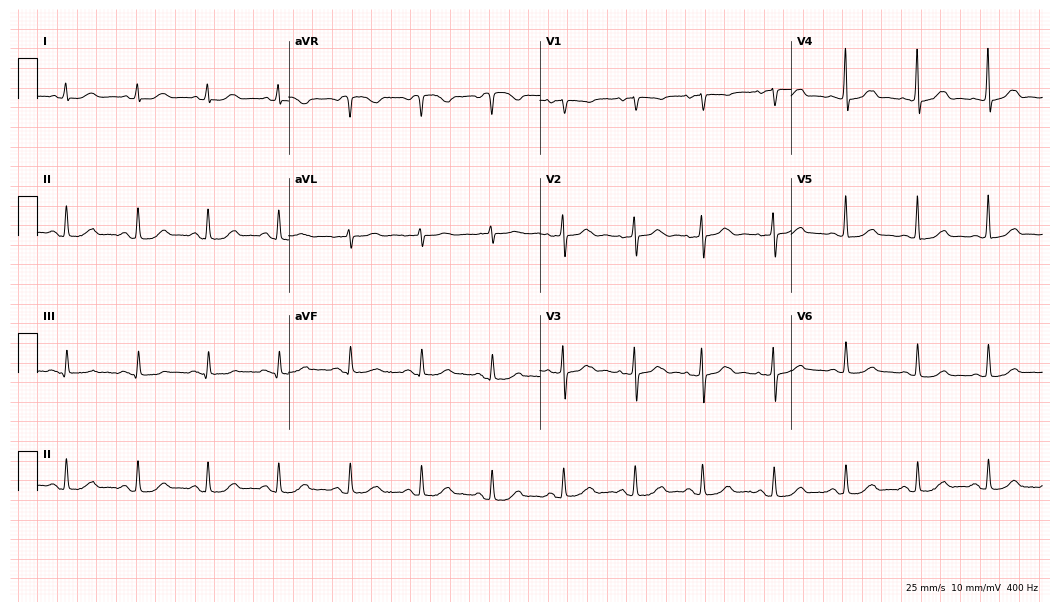
Resting 12-lead electrocardiogram (10.2-second recording at 400 Hz). Patient: an 82-year-old female. None of these six findings is recorded: first-degree AV block, right bundle branch block, left bundle branch block, sinus bradycardia, atrial fibrillation, sinus tachycardia.